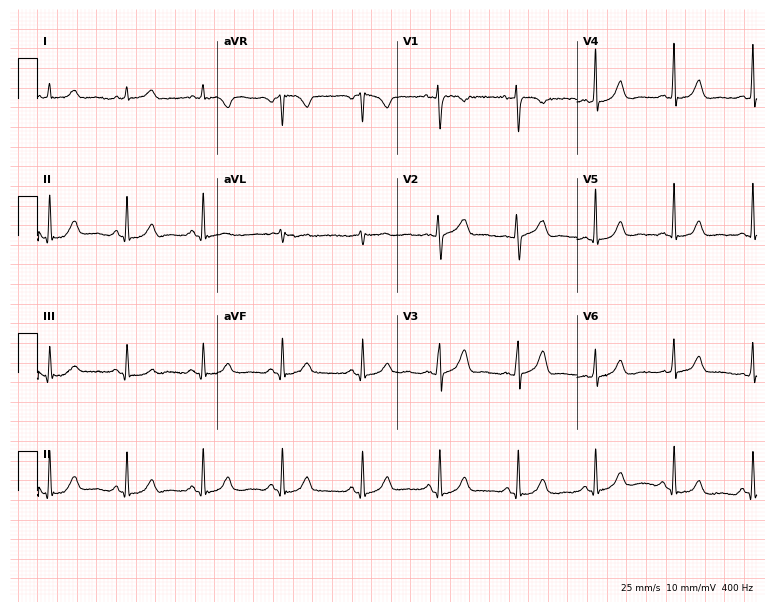
Standard 12-lead ECG recorded from a female patient, 36 years old (7.3-second recording at 400 Hz). Read as a normal ECG.